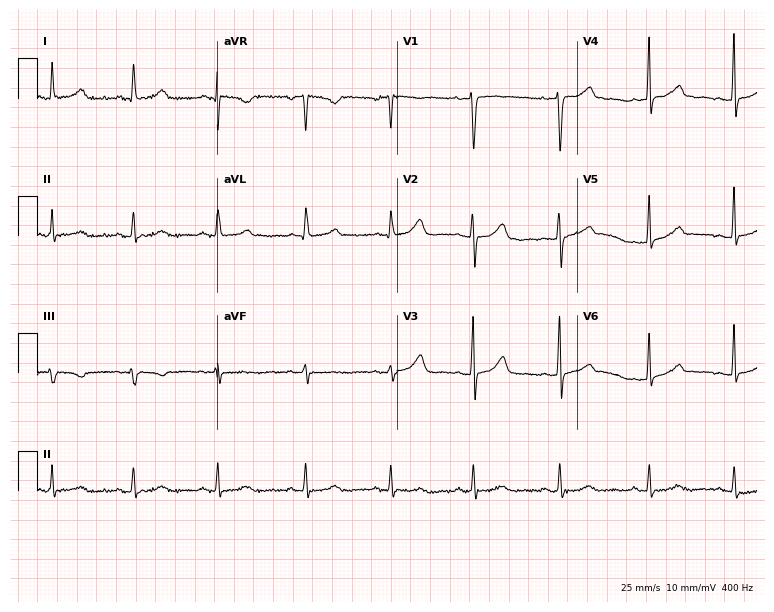
Electrocardiogram (7.3-second recording at 400 Hz), a 44-year-old female. Of the six screened findings (first-degree AV block, right bundle branch block, left bundle branch block, sinus bradycardia, atrial fibrillation, sinus tachycardia), none is recorded.